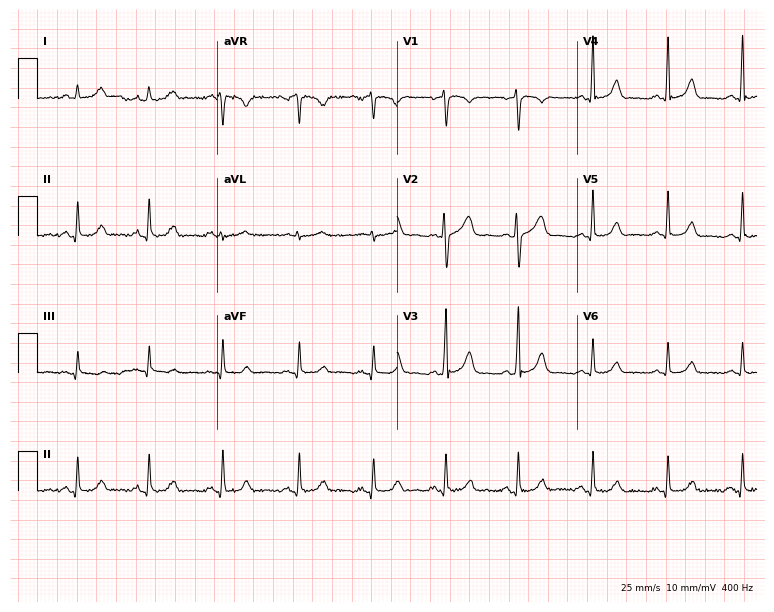
Resting 12-lead electrocardiogram. Patient: a 30-year-old female. Read as a normal ECG.